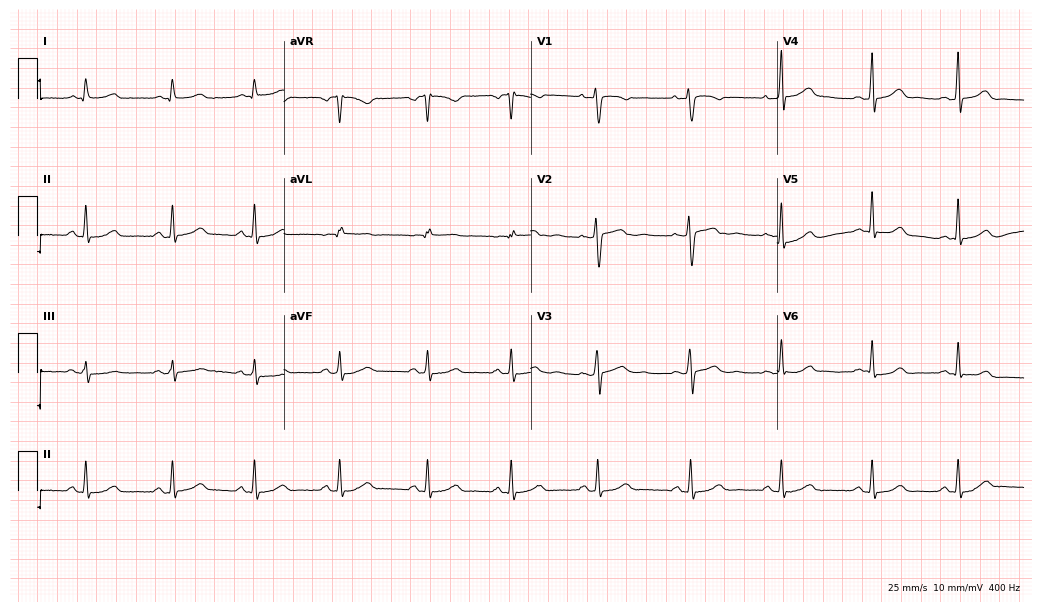
12-lead ECG from a female, 38 years old (10.1-second recording at 400 Hz). Recorded interpretation: within normal limits.